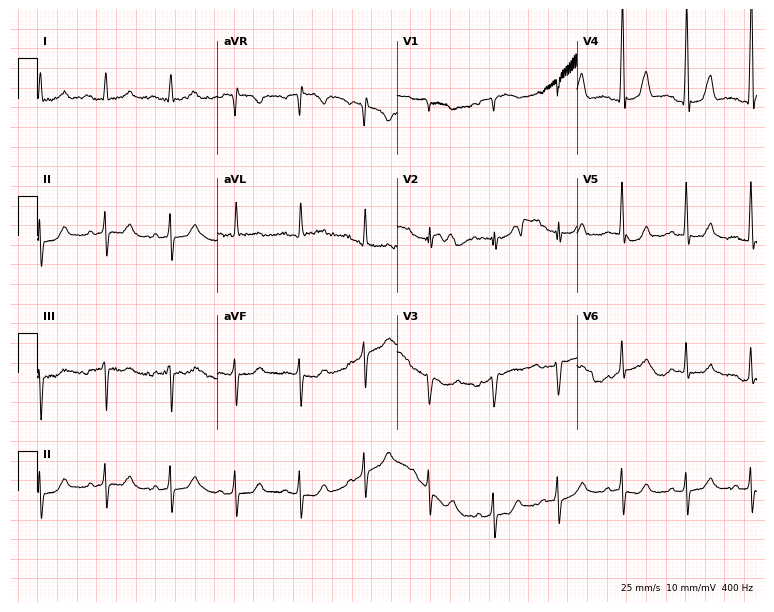
Electrocardiogram, a 65-year-old female patient. Of the six screened findings (first-degree AV block, right bundle branch block, left bundle branch block, sinus bradycardia, atrial fibrillation, sinus tachycardia), none is recorded. Other findings, if any, are not listed.